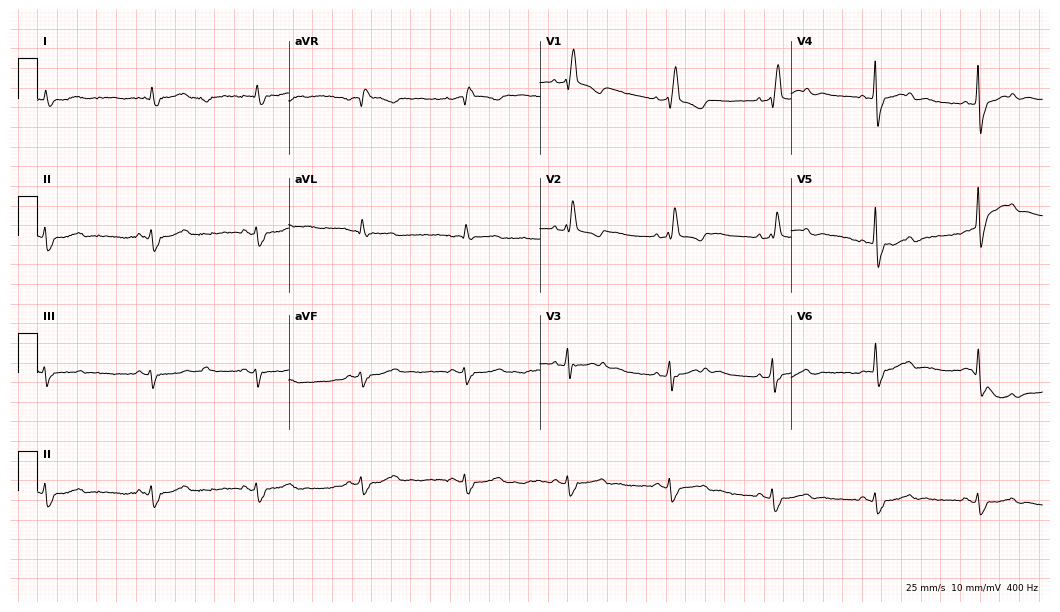
Standard 12-lead ECG recorded from a man, 84 years old (10.2-second recording at 400 Hz). The tracing shows right bundle branch block (RBBB).